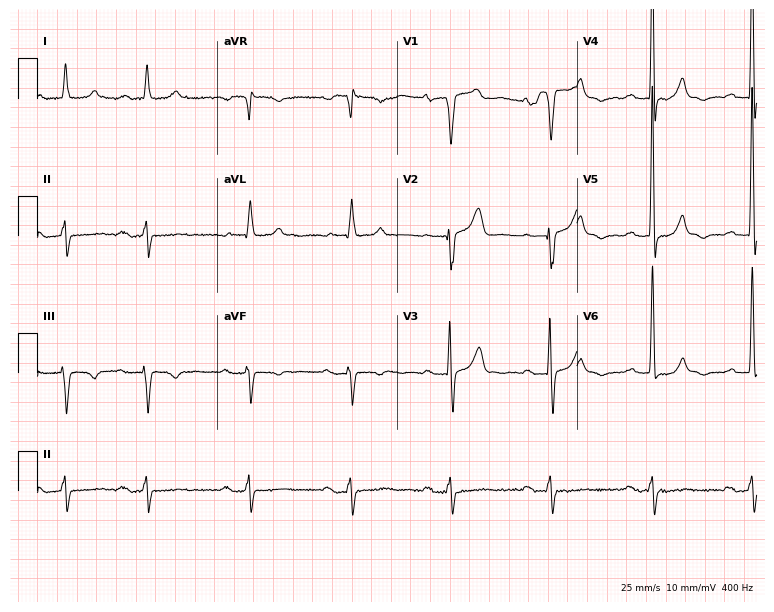
Resting 12-lead electrocardiogram (7.3-second recording at 400 Hz). Patient: an 82-year-old male. The tracing shows first-degree AV block.